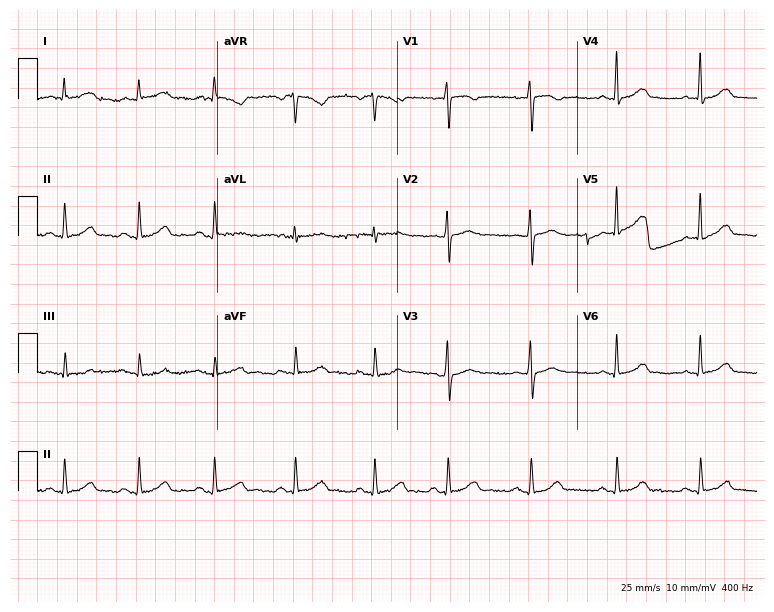
Electrocardiogram (7.3-second recording at 400 Hz), a female patient, 44 years old. Overall reading on record: normal ECG.